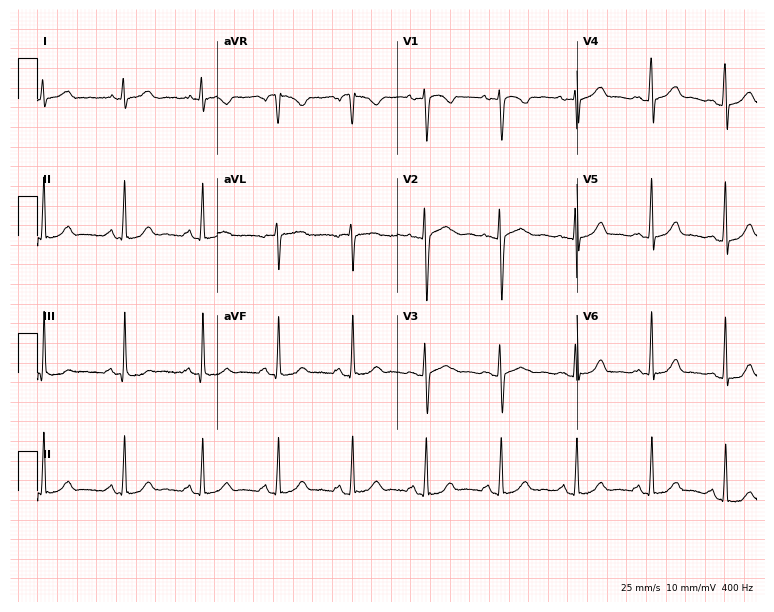
Electrocardiogram (7.3-second recording at 400 Hz), a female, 21 years old. Overall reading on record: normal ECG.